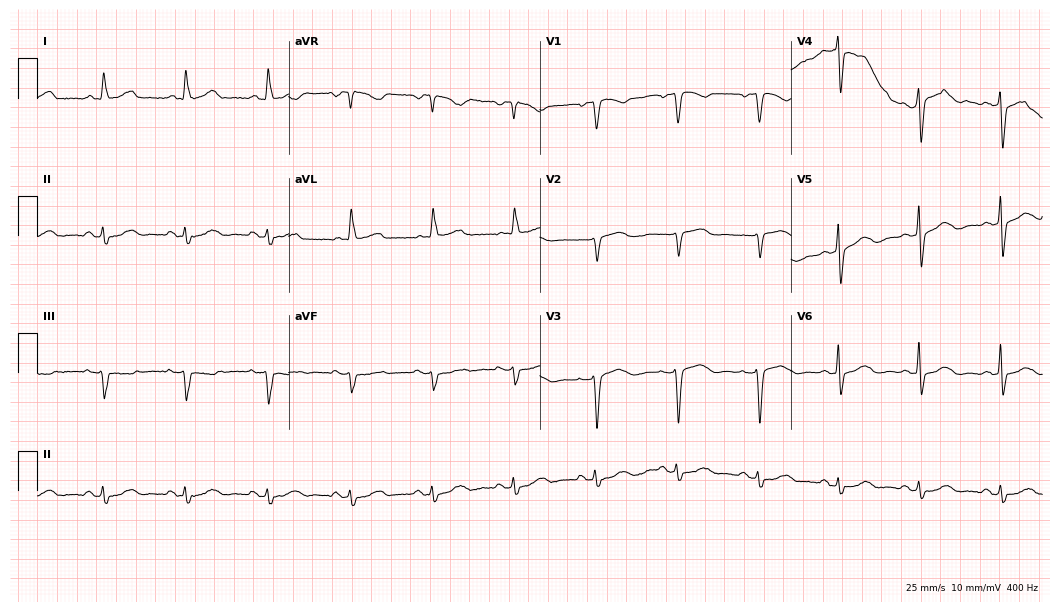
Electrocardiogram (10.2-second recording at 400 Hz), a female patient, 62 years old. Of the six screened findings (first-degree AV block, right bundle branch block (RBBB), left bundle branch block (LBBB), sinus bradycardia, atrial fibrillation (AF), sinus tachycardia), none is recorded. Only these six findings were labelled.